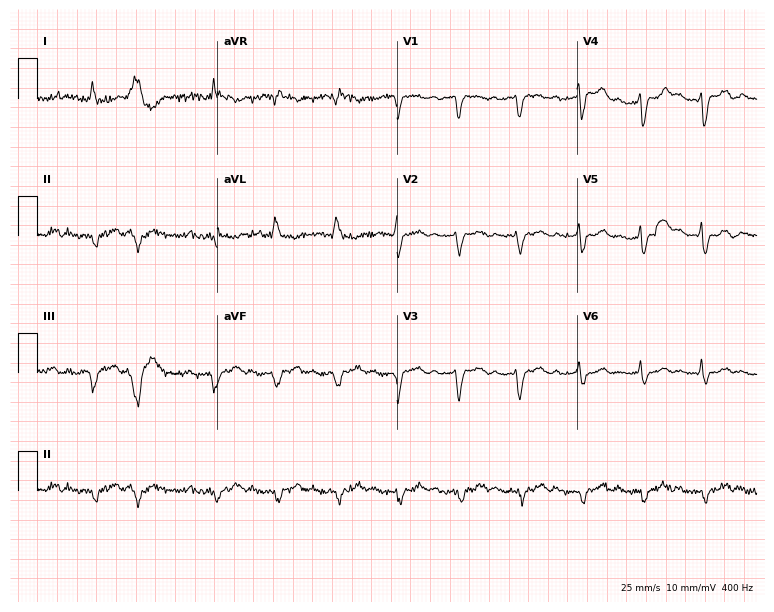
Electrocardiogram (7.3-second recording at 400 Hz), a female patient, 78 years old. Of the six screened findings (first-degree AV block, right bundle branch block (RBBB), left bundle branch block (LBBB), sinus bradycardia, atrial fibrillation (AF), sinus tachycardia), none is recorded.